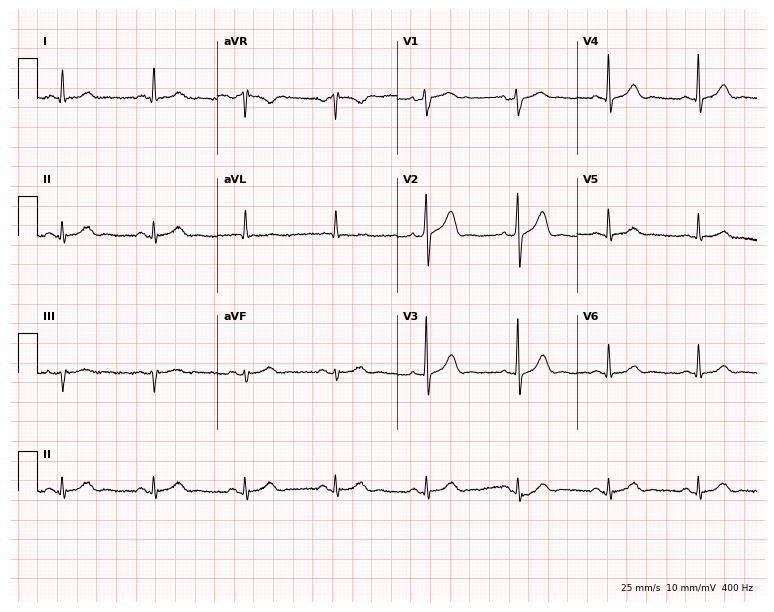
12-lead ECG from a 77-year-old male patient (7.3-second recording at 400 Hz). No first-degree AV block, right bundle branch block (RBBB), left bundle branch block (LBBB), sinus bradycardia, atrial fibrillation (AF) or sinus tachycardia recorded for this tracing.